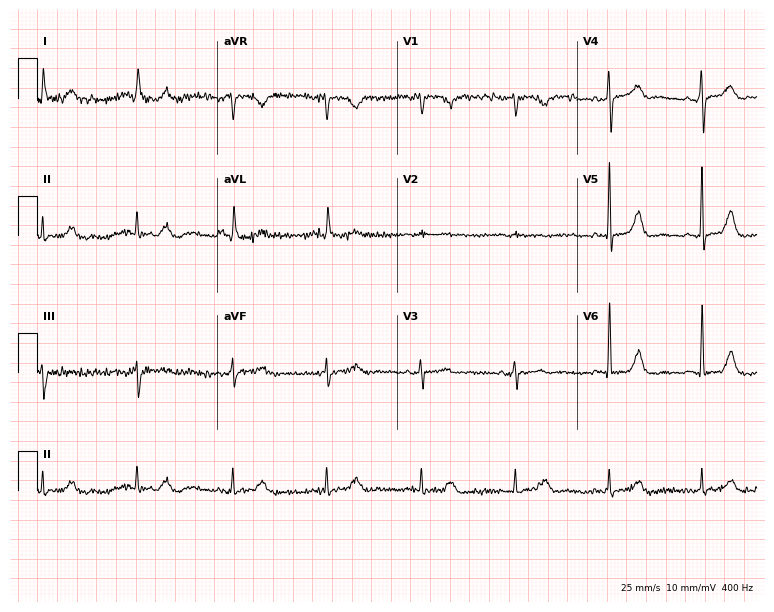
12-lead ECG (7.3-second recording at 400 Hz) from a woman, 70 years old. Screened for six findings — first-degree AV block, right bundle branch block, left bundle branch block, sinus bradycardia, atrial fibrillation, sinus tachycardia — none is recorded.